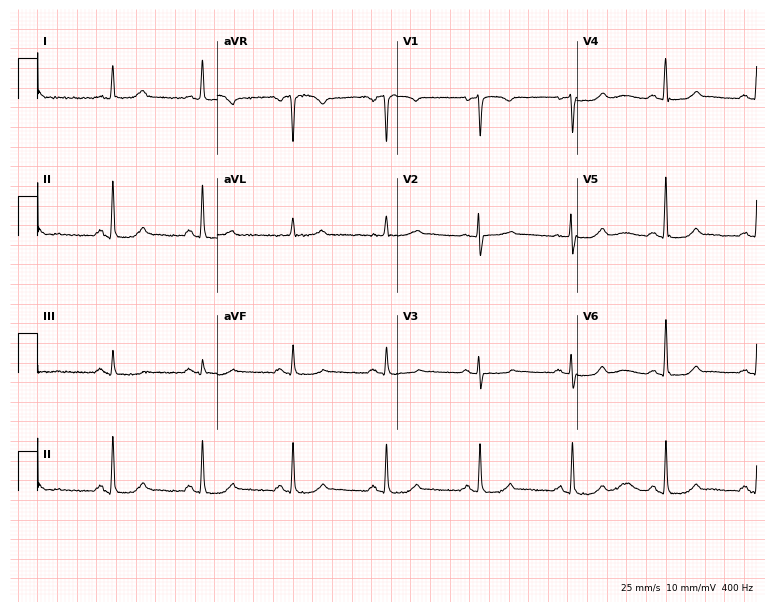
12-lead ECG from a 75-year-old female. Labelled as a normal ECG.